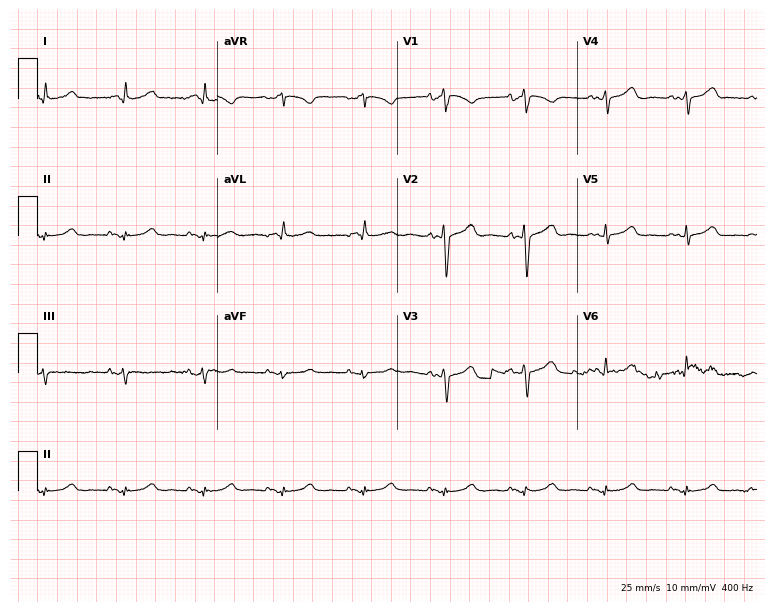
Electrocardiogram (7.3-second recording at 400 Hz), a female patient, 67 years old. Overall reading on record: normal ECG.